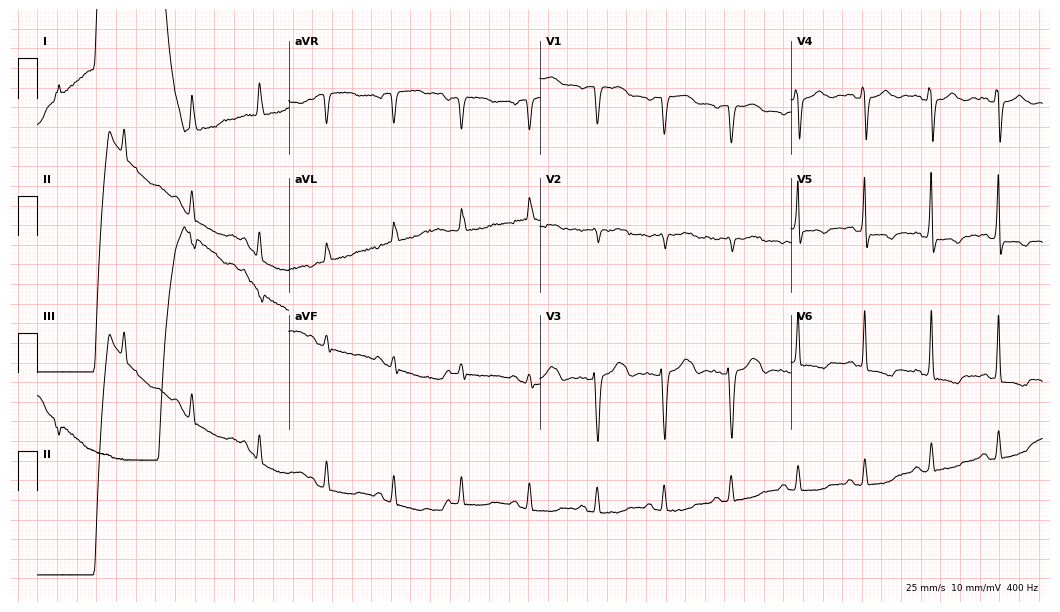
12-lead ECG (10.2-second recording at 400 Hz) from a 73-year-old female. Screened for six findings — first-degree AV block, right bundle branch block, left bundle branch block, sinus bradycardia, atrial fibrillation, sinus tachycardia — none is recorded. Findings outside these six are not listed.